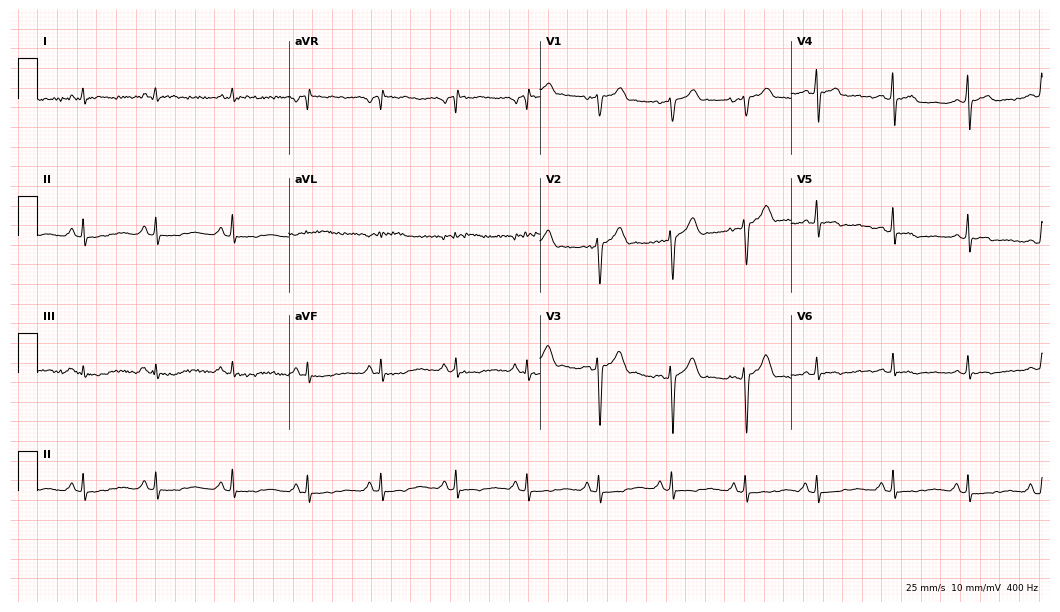
Standard 12-lead ECG recorded from a male patient, 51 years old (10.2-second recording at 400 Hz). None of these six findings is recorded: first-degree AV block, right bundle branch block, left bundle branch block, sinus bradycardia, atrial fibrillation, sinus tachycardia.